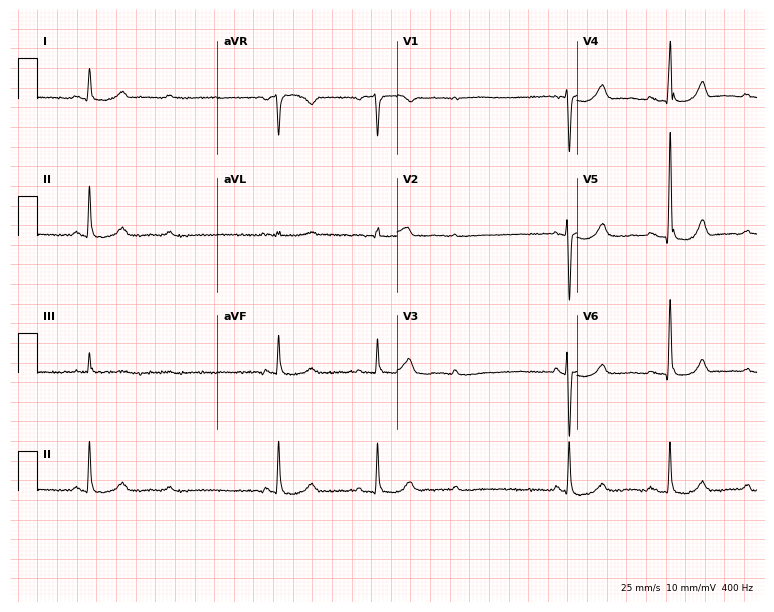
Resting 12-lead electrocardiogram (7.3-second recording at 400 Hz). Patient: a 77-year-old female. None of these six findings is recorded: first-degree AV block, right bundle branch block (RBBB), left bundle branch block (LBBB), sinus bradycardia, atrial fibrillation (AF), sinus tachycardia. Findings outside these six are not listed.